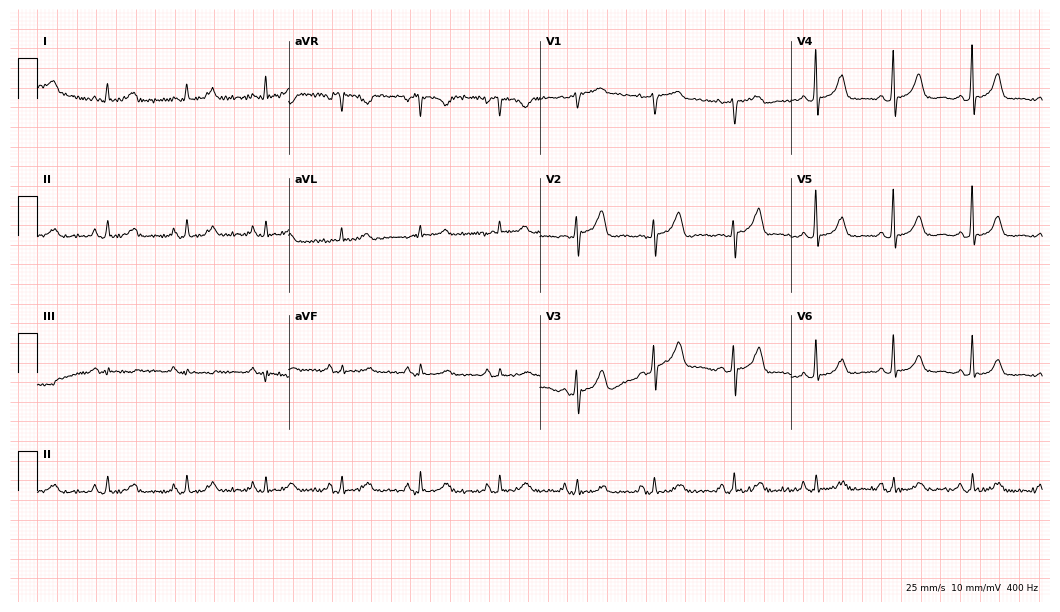
Standard 12-lead ECG recorded from a 77-year-old woman (10.2-second recording at 400 Hz). Read as a normal ECG.